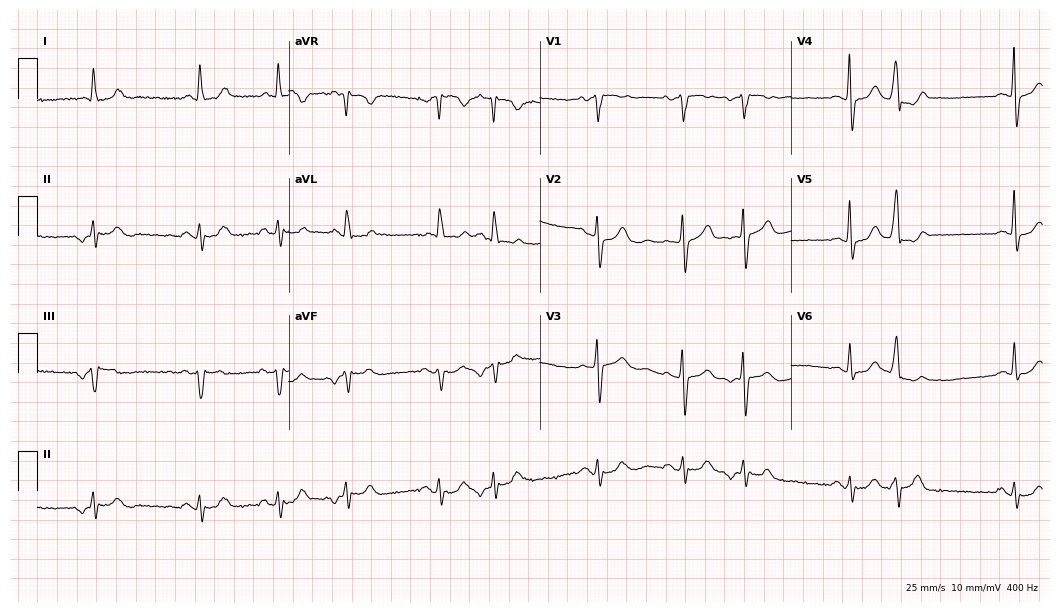
Standard 12-lead ECG recorded from an 82-year-old female patient (10.2-second recording at 400 Hz). None of these six findings is recorded: first-degree AV block, right bundle branch block (RBBB), left bundle branch block (LBBB), sinus bradycardia, atrial fibrillation (AF), sinus tachycardia. Findings outside these six are not listed.